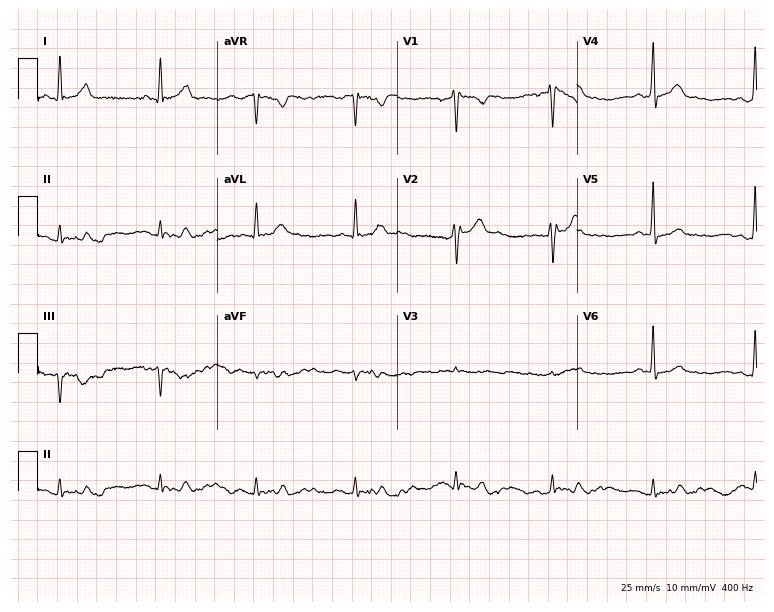
Standard 12-lead ECG recorded from a male, 36 years old. Read as a normal ECG.